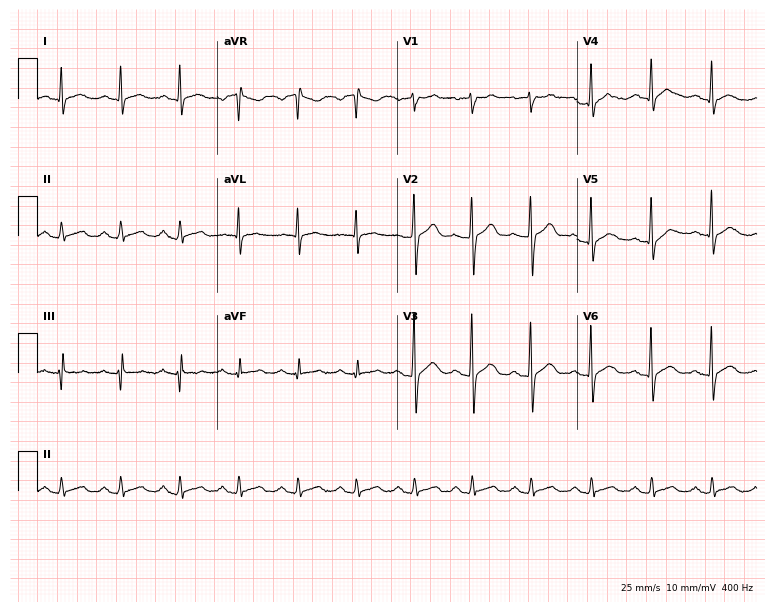
ECG (7.3-second recording at 400 Hz) — a man, 44 years old. Screened for six findings — first-degree AV block, right bundle branch block (RBBB), left bundle branch block (LBBB), sinus bradycardia, atrial fibrillation (AF), sinus tachycardia — none is recorded.